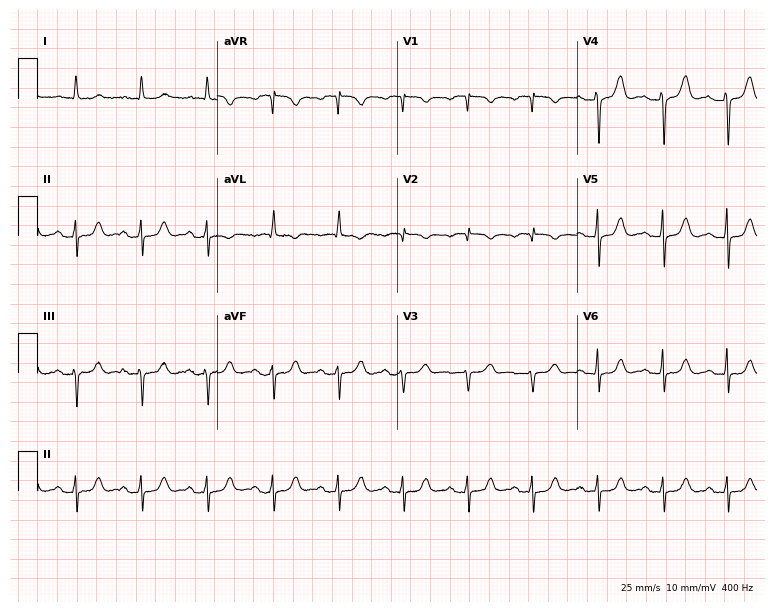
12-lead ECG from a 74-year-old woman (7.3-second recording at 400 Hz). No first-degree AV block, right bundle branch block (RBBB), left bundle branch block (LBBB), sinus bradycardia, atrial fibrillation (AF) or sinus tachycardia recorded for this tracing.